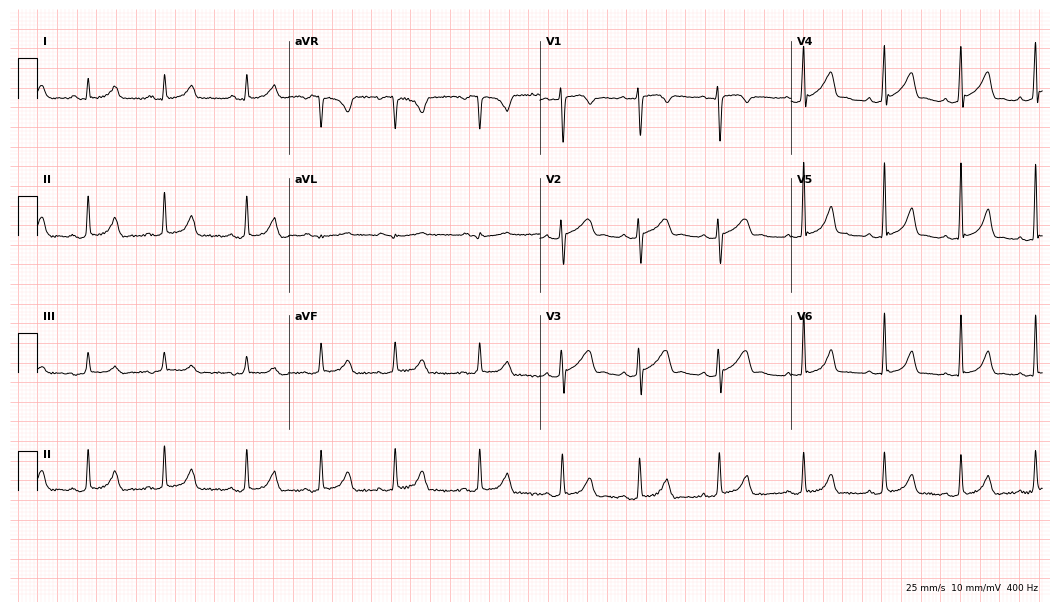
Standard 12-lead ECG recorded from a female, 20 years old. Read as a normal ECG.